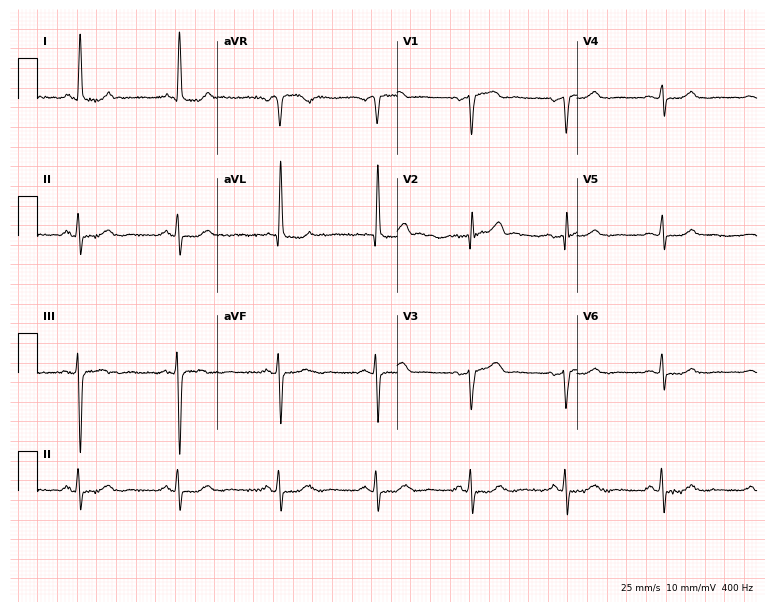
ECG (7.3-second recording at 400 Hz) — a female, 73 years old. Screened for six findings — first-degree AV block, right bundle branch block (RBBB), left bundle branch block (LBBB), sinus bradycardia, atrial fibrillation (AF), sinus tachycardia — none is recorded. Other findings, if any, are not listed.